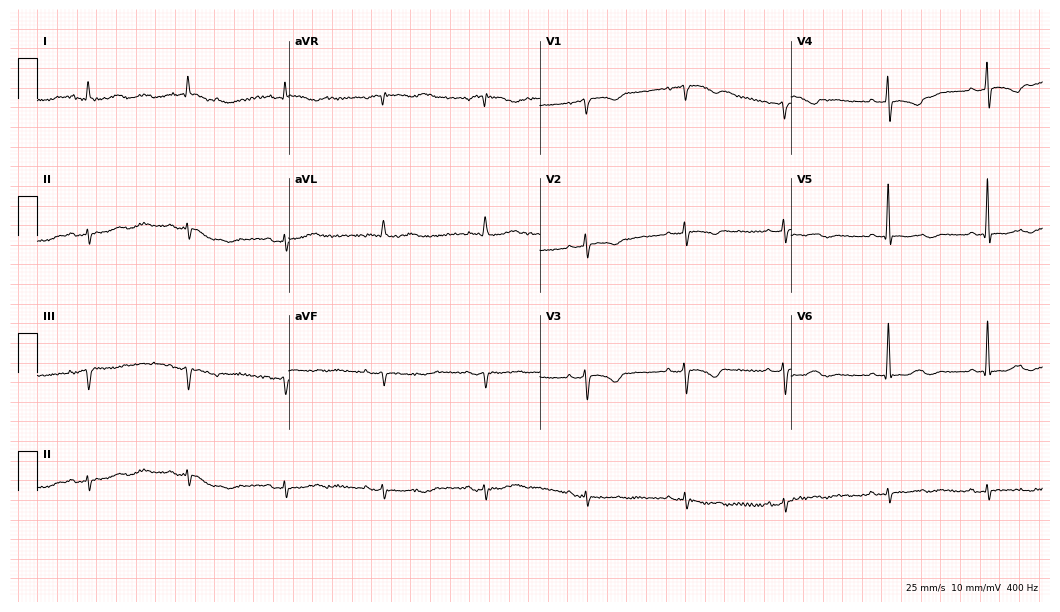
Standard 12-lead ECG recorded from a woman, 83 years old (10.2-second recording at 400 Hz). None of these six findings is recorded: first-degree AV block, right bundle branch block, left bundle branch block, sinus bradycardia, atrial fibrillation, sinus tachycardia. Only these six findings were labelled.